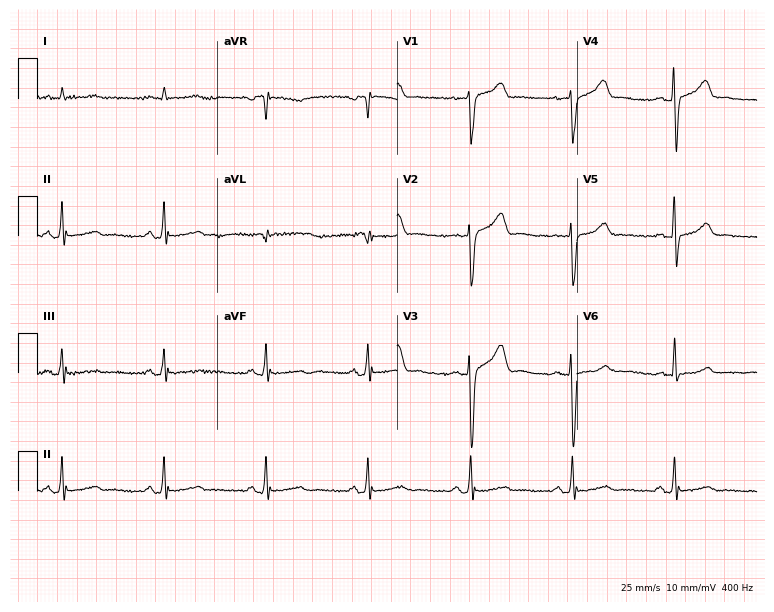
Electrocardiogram (7.3-second recording at 400 Hz), a 38-year-old man. Of the six screened findings (first-degree AV block, right bundle branch block (RBBB), left bundle branch block (LBBB), sinus bradycardia, atrial fibrillation (AF), sinus tachycardia), none is recorded. Findings outside these six are not listed.